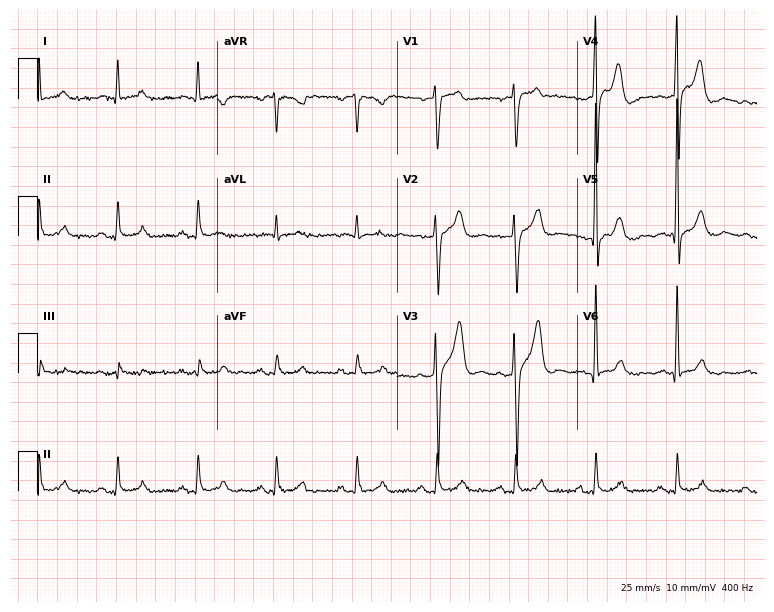
12-lead ECG from a 62-year-old male. Recorded interpretation: within normal limits.